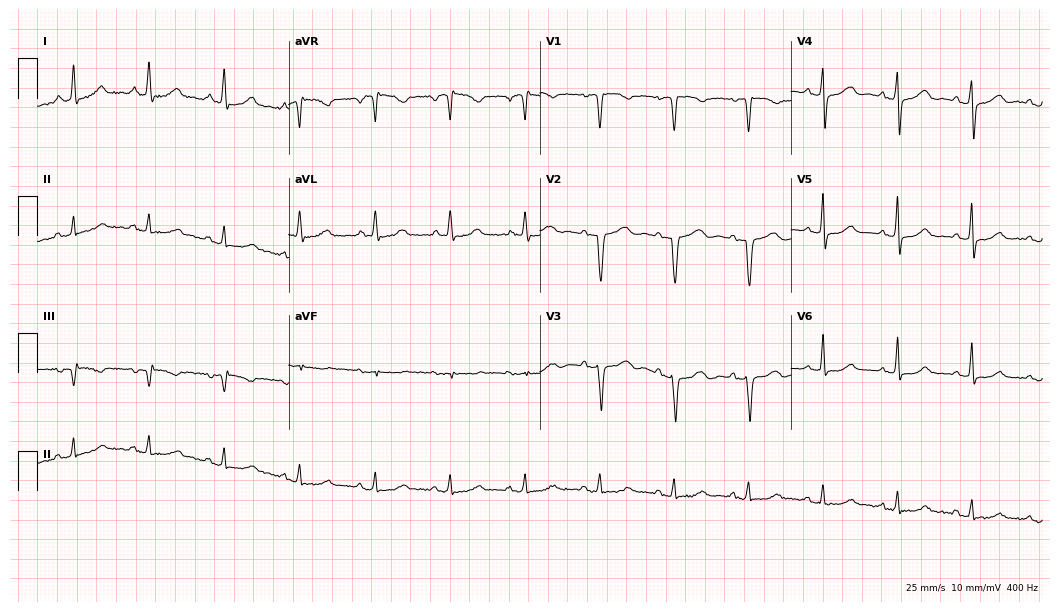
Resting 12-lead electrocardiogram. Patient: an 80-year-old man. None of these six findings is recorded: first-degree AV block, right bundle branch block, left bundle branch block, sinus bradycardia, atrial fibrillation, sinus tachycardia.